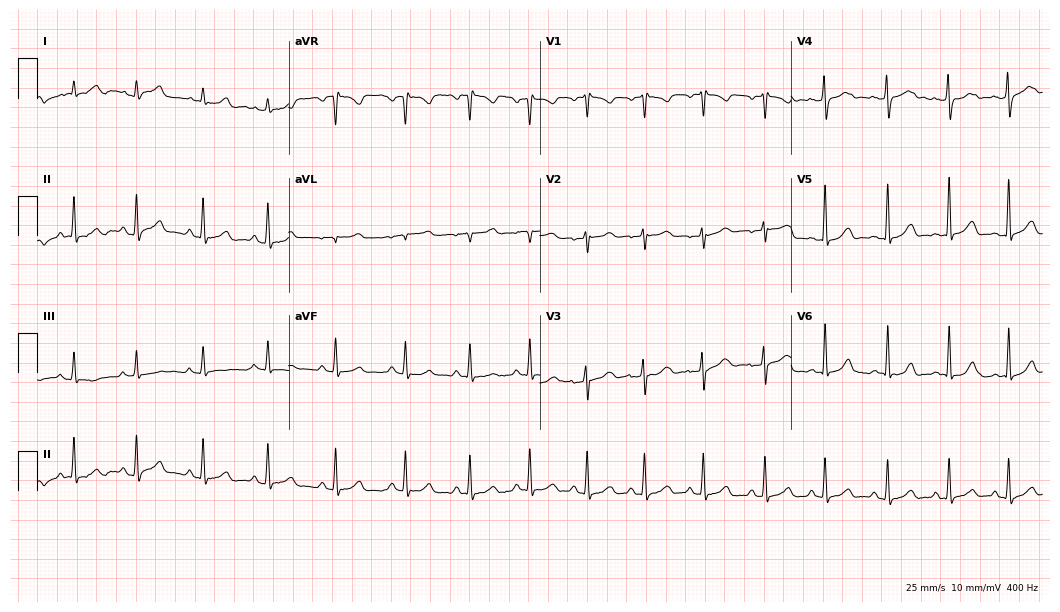
ECG — a female, 28 years old. Screened for six findings — first-degree AV block, right bundle branch block, left bundle branch block, sinus bradycardia, atrial fibrillation, sinus tachycardia — none is recorded.